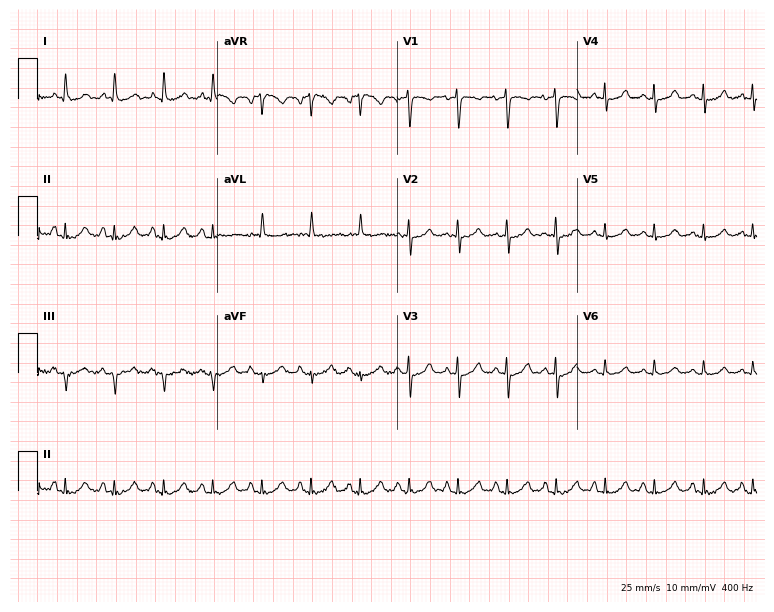
ECG — a 72-year-old female patient. Screened for six findings — first-degree AV block, right bundle branch block (RBBB), left bundle branch block (LBBB), sinus bradycardia, atrial fibrillation (AF), sinus tachycardia — none is recorded. Only these six findings were labelled.